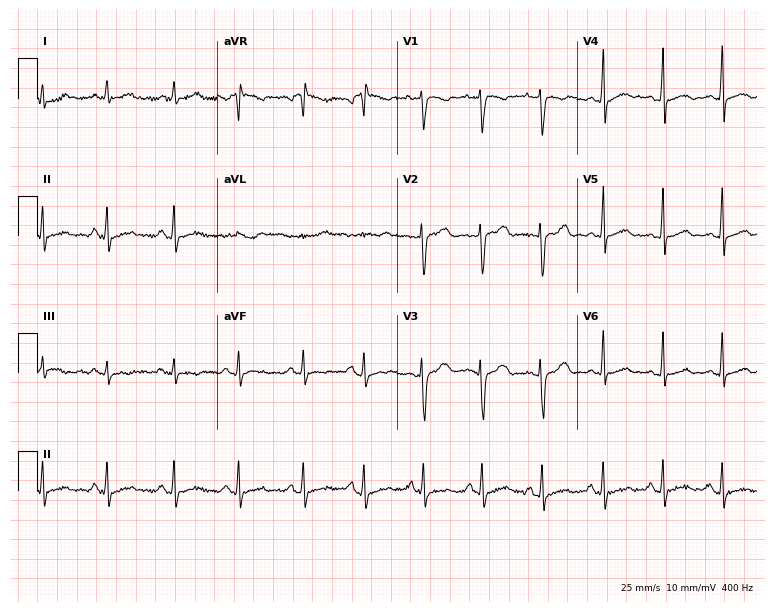
12-lead ECG from a woman, 20 years old. Screened for six findings — first-degree AV block, right bundle branch block, left bundle branch block, sinus bradycardia, atrial fibrillation, sinus tachycardia — none is recorded.